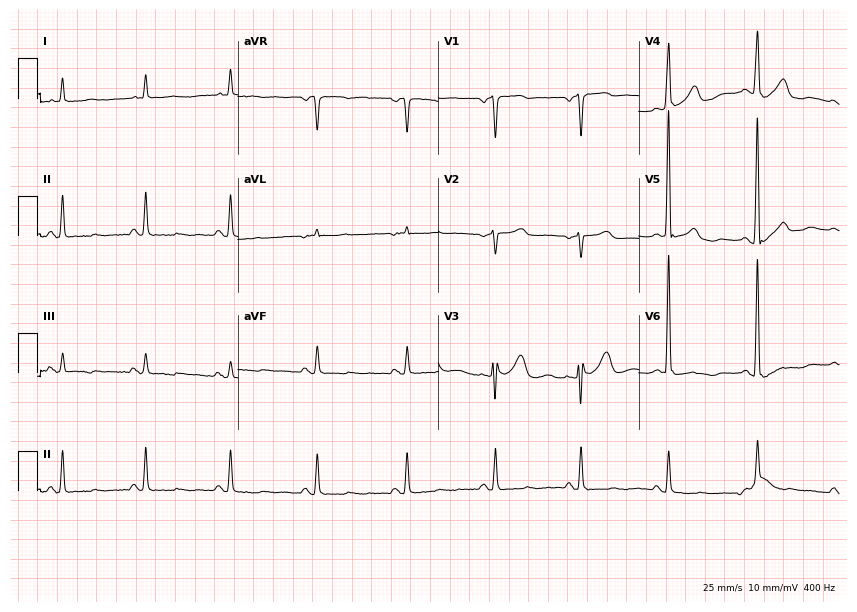
ECG — a man, 78 years old. Screened for six findings — first-degree AV block, right bundle branch block, left bundle branch block, sinus bradycardia, atrial fibrillation, sinus tachycardia — none is recorded.